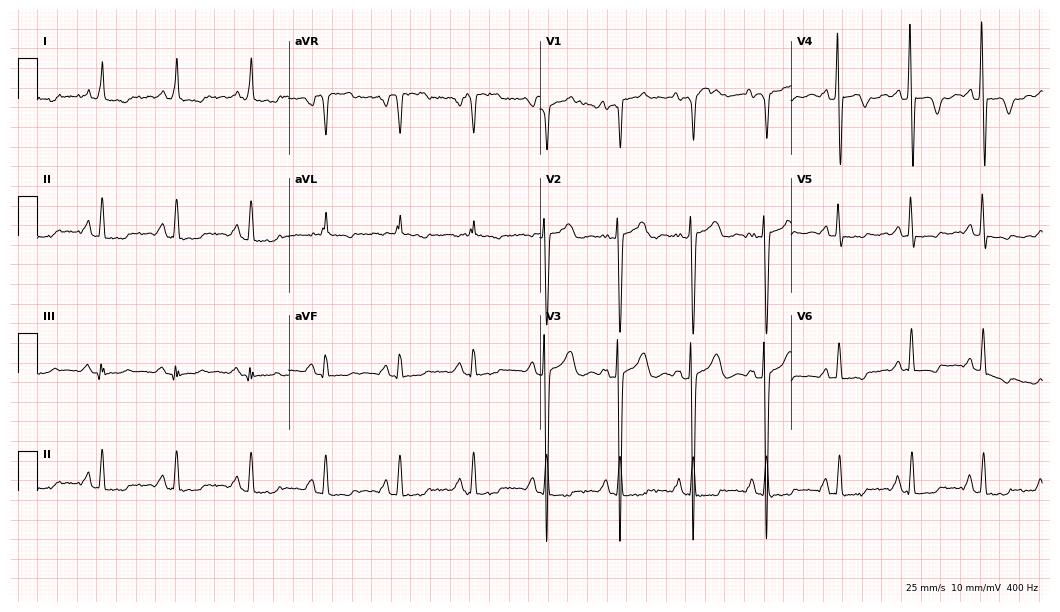
12-lead ECG (10.2-second recording at 400 Hz) from a 59-year-old man. Labelled as a normal ECG.